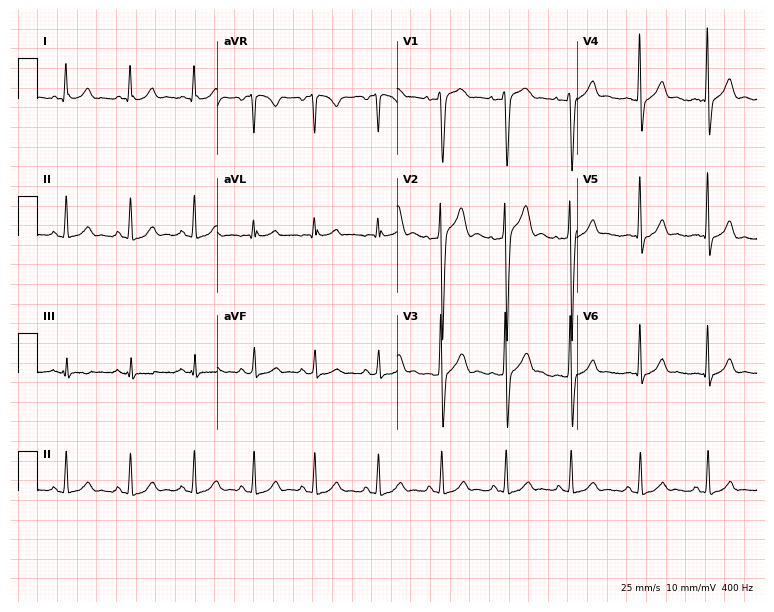
12-lead ECG from a 32-year-old man. No first-degree AV block, right bundle branch block, left bundle branch block, sinus bradycardia, atrial fibrillation or sinus tachycardia recorded for this tracing. Other findings, if any, are not listed.